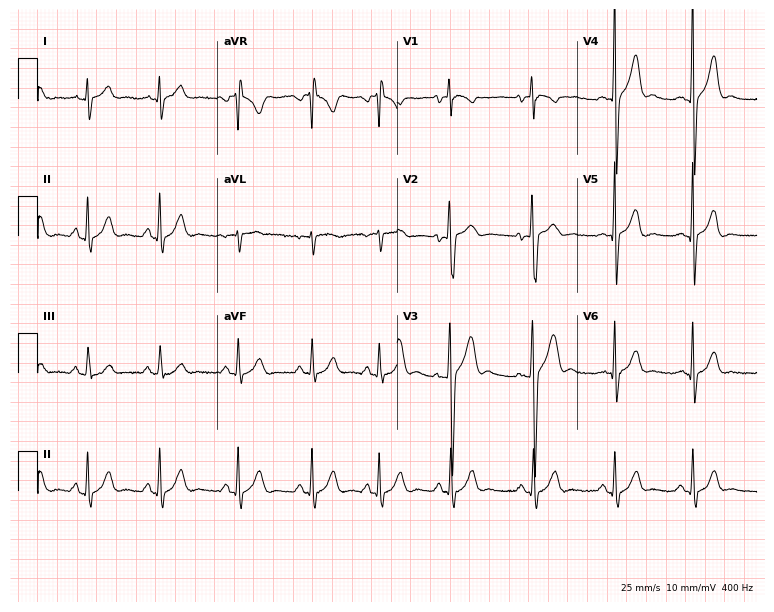
Standard 12-lead ECG recorded from a male patient, 18 years old (7.3-second recording at 400 Hz). Read as a normal ECG.